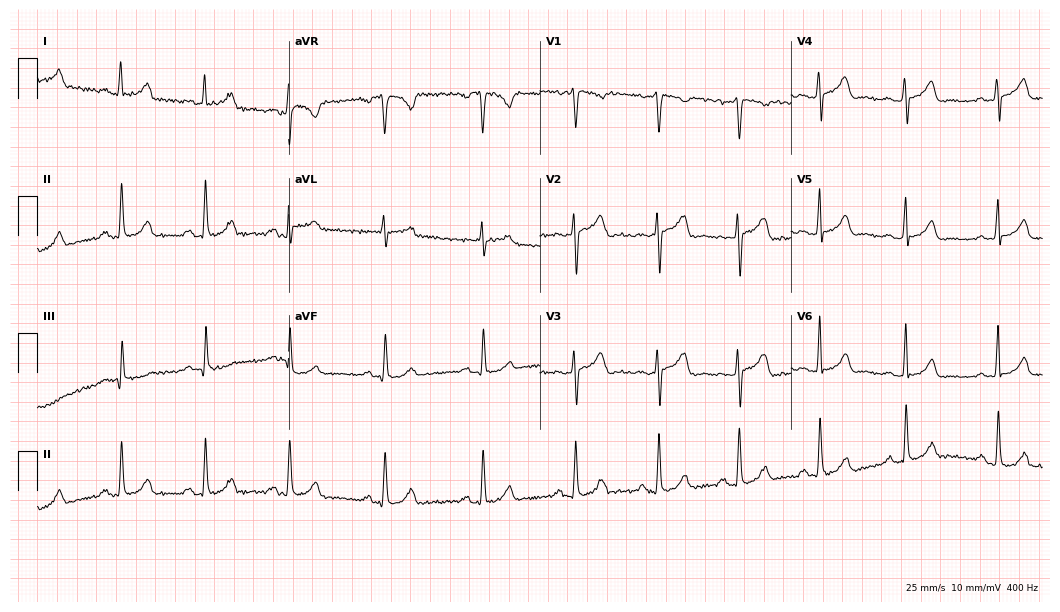
Electrocardiogram (10.2-second recording at 400 Hz), a female, 33 years old. Of the six screened findings (first-degree AV block, right bundle branch block (RBBB), left bundle branch block (LBBB), sinus bradycardia, atrial fibrillation (AF), sinus tachycardia), none is recorded. Only these six findings were labelled.